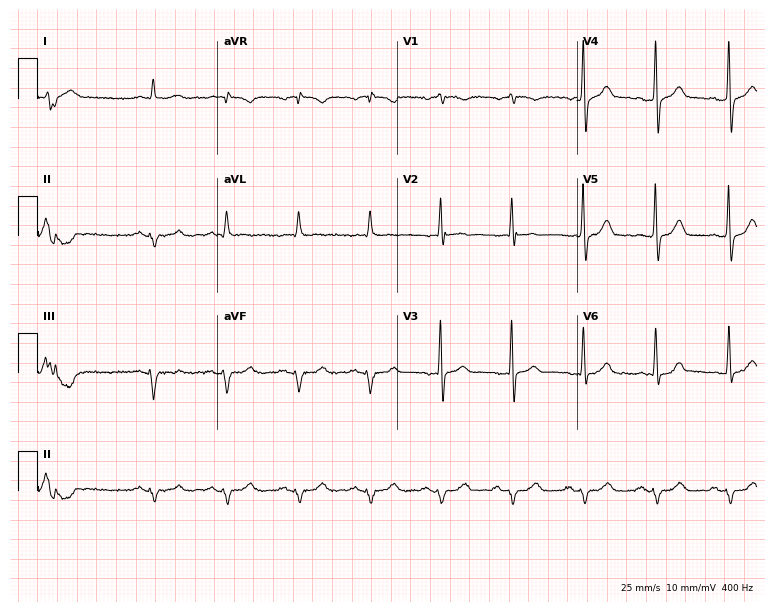
Electrocardiogram, a man, 69 years old. Of the six screened findings (first-degree AV block, right bundle branch block (RBBB), left bundle branch block (LBBB), sinus bradycardia, atrial fibrillation (AF), sinus tachycardia), none is recorded.